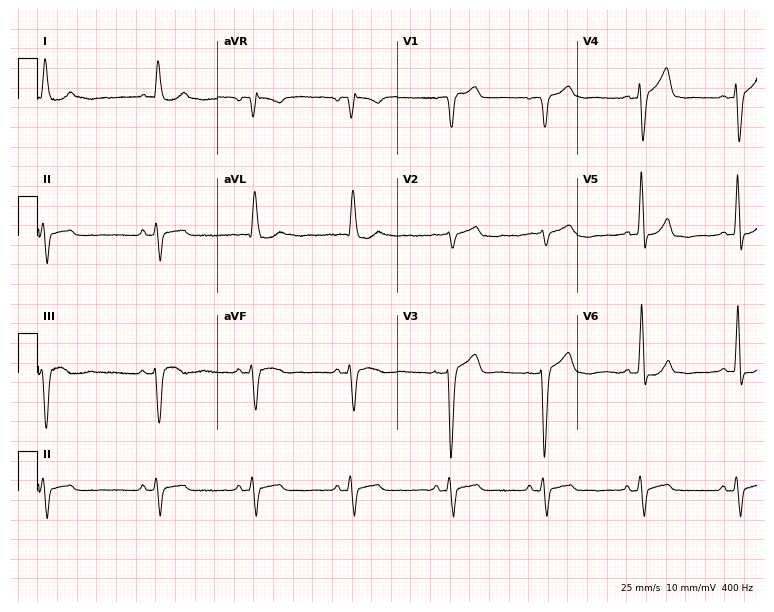
12-lead ECG from a woman, 85 years old (7.3-second recording at 400 Hz). No first-degree AV block, right bundle branch block (RBBB), left bundle branch block (LBBB), sinus bradycardia, atrial fibrillation (AF) or sinus tachycardia recorded for this tracing. Findings outside these six are not listed.